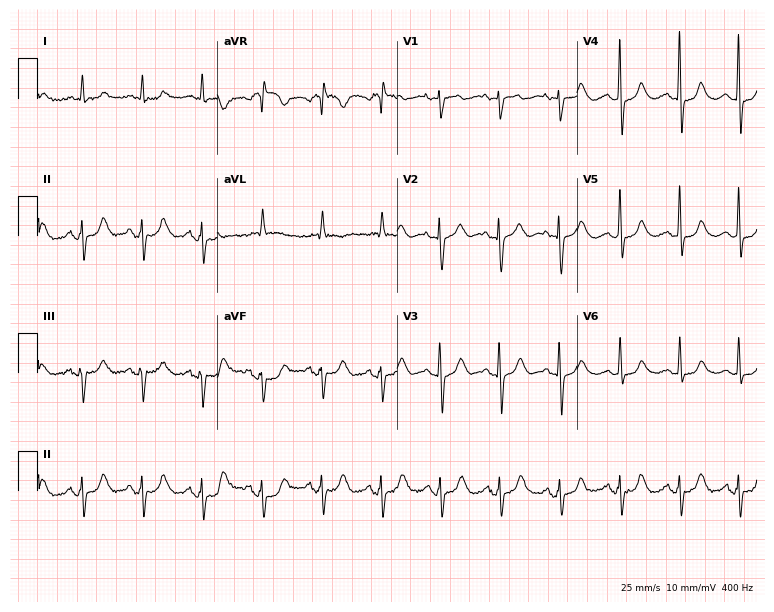
ECG (7.3-second recording at 400 Hz) — a 63-year-old female. Screened for six findings — first-degree AV block, right bundle branch block, left bundle branch block, sinus bradycardia, atrial fibrillation, sinus tachycardia — none is recorded. Only these six findings were labelled.